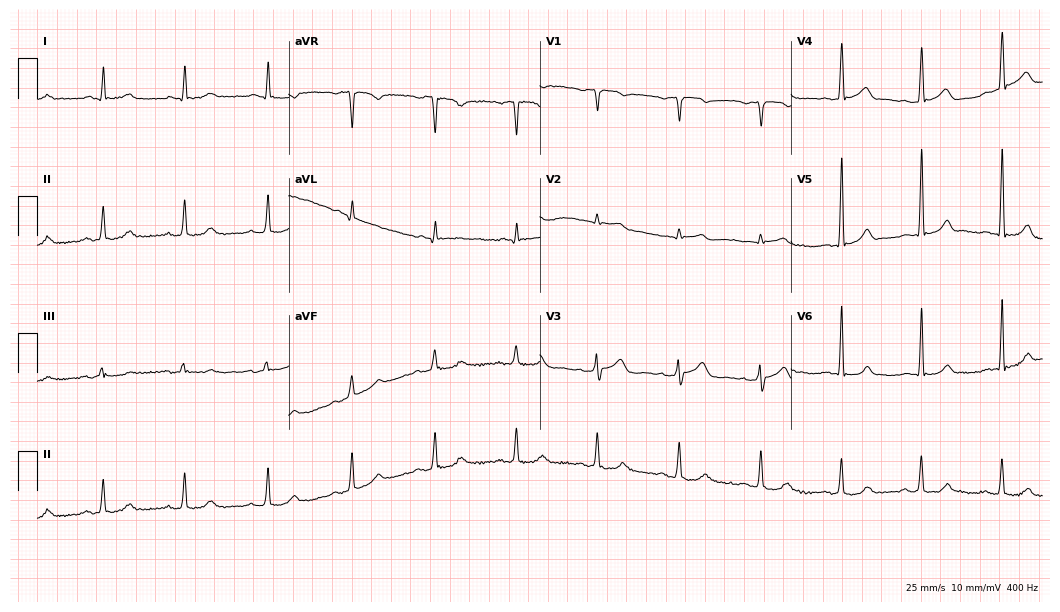
Standard 12-lead ECG recorded from an 81-year-old male patient (10.2-second recording at 400 Hz). Read as a normal ECG.